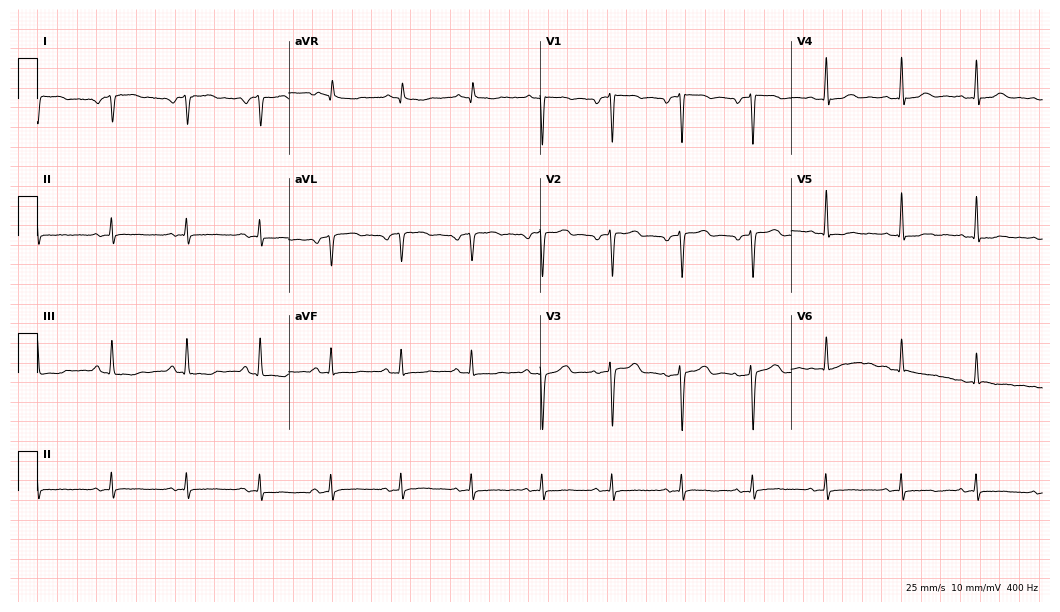
12-lead ECG from a 44-year-old female patient. Screened for six findings — first-degree AV block, right bundle branch block, left bundle branch block, sinus bradycardia, atrial fibrillation, sinus tachycardia — none is recorded.